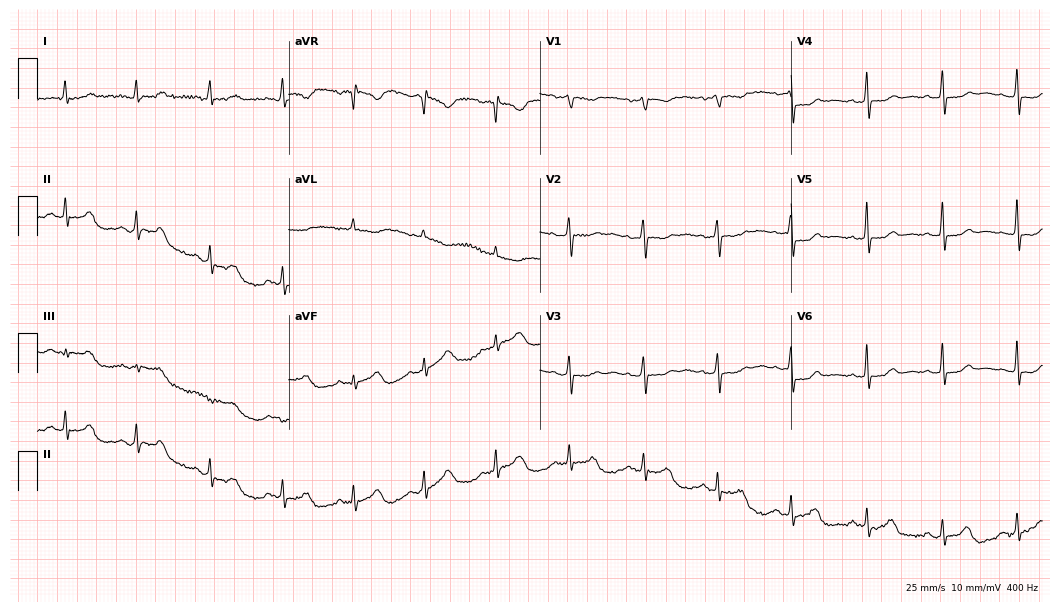
Electrocardiogram, a 67-year-old female. Of the six screened findings (first-degree AV block, right bundle branch block, left bundle branch block, sinus bradycardia, atrial fibrillation, sinus tachycardia), none is recorded.